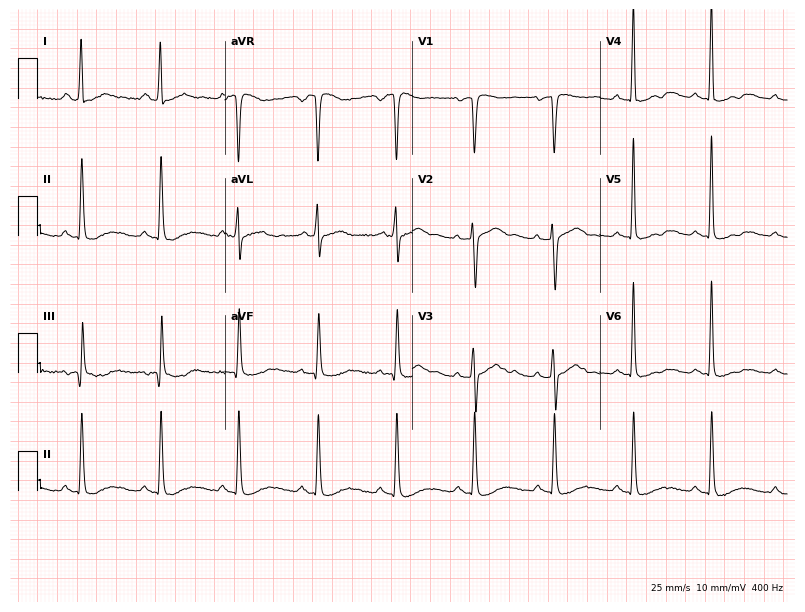
Resting 12-lead electrocardiogram. Patient: a woman, 47 years old. None of these six findings is recorded: first-degree AV block, right bundle branch block (RBBB), left bundle branch block (LBBB), sinus bradycardia, atrial fibrillation (AF), sinus tachycardia. Findings outside these six are not listed.